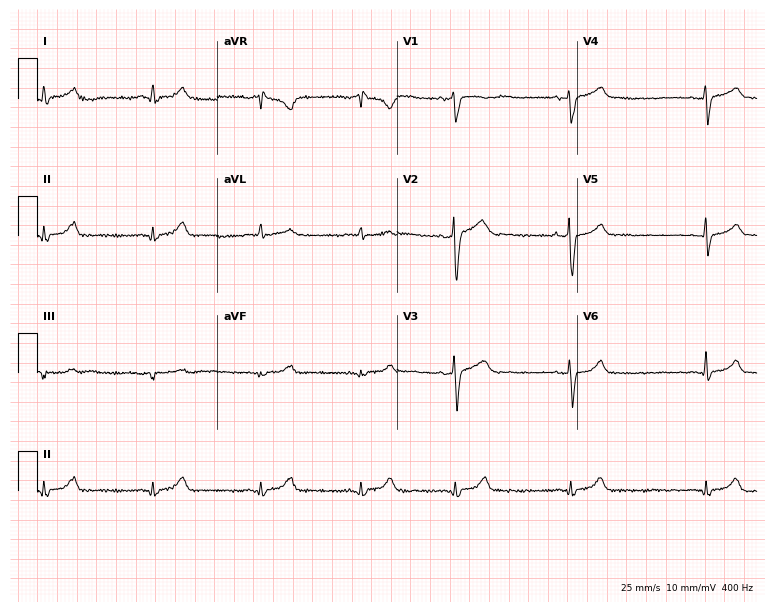
12-lead ECG from a 32-year-old male (7.3-second recording at 400 Hz). No first-degree AV block, right bundle branch block, left bundle branch block, sinus bradycardia, atrial fibrillation or sinus tachycardia recorded for this tracing. Only these six findings were labelled.